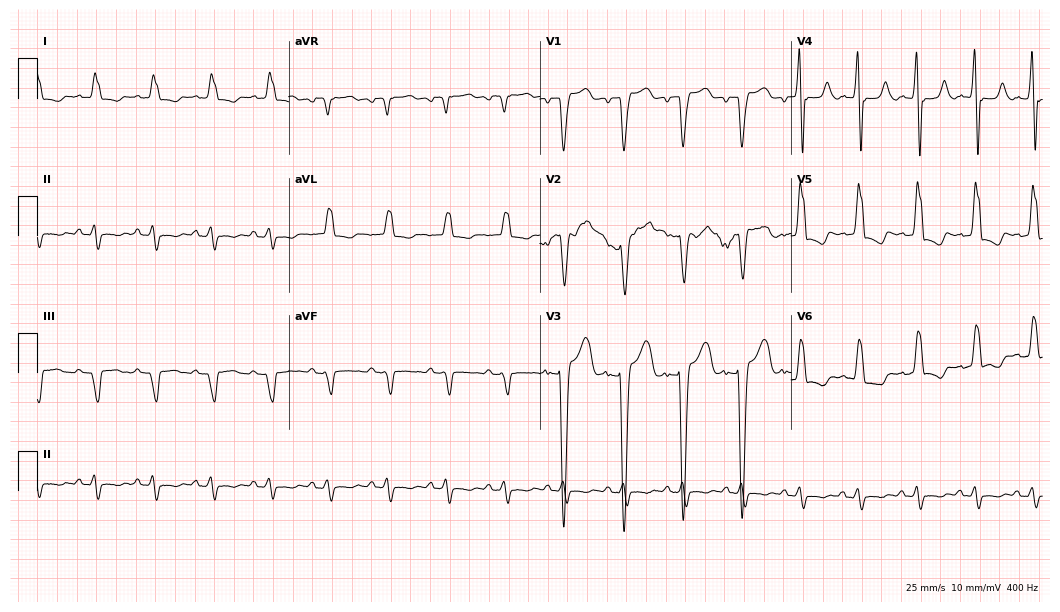
12-lead ECG from a man, 53 years old. Shows left bundle branch block, sinus tachycardia (a sinus rate of 100 beats per minute or more).